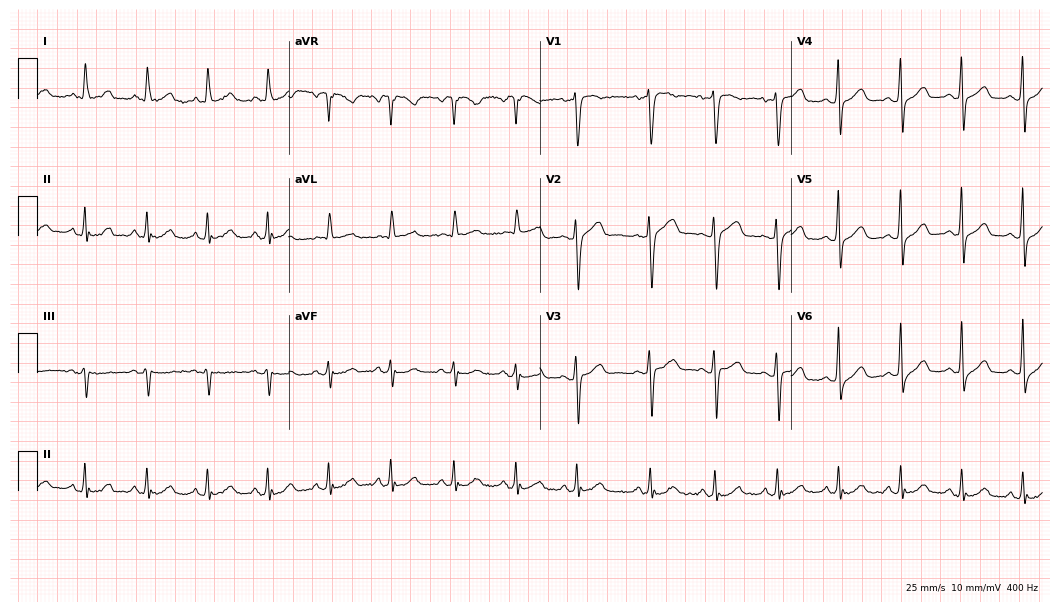
12-lead ECG (10.2-second recording at 400 Hz) from a female patient, 50 years old. Labelled as a normal ECG.